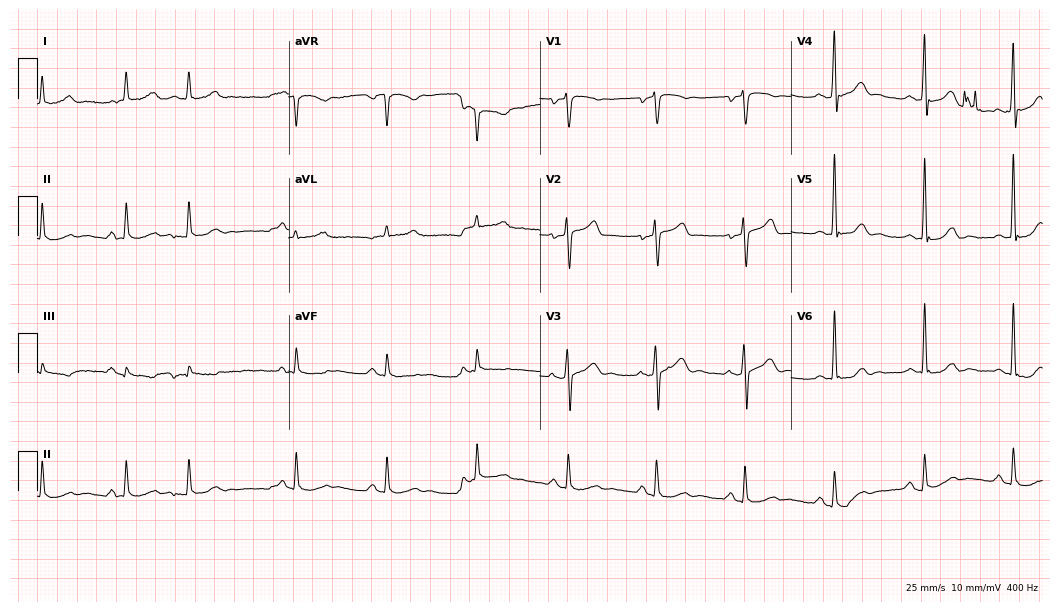
Electrocardiogram, a 76-year-old male patient. Of the six screened findings (first-degree AV block, right bundle branch block, left bundle branch block, sinus bradycardia, atrial fibrillation, sinus tachycardia), none is recorded.